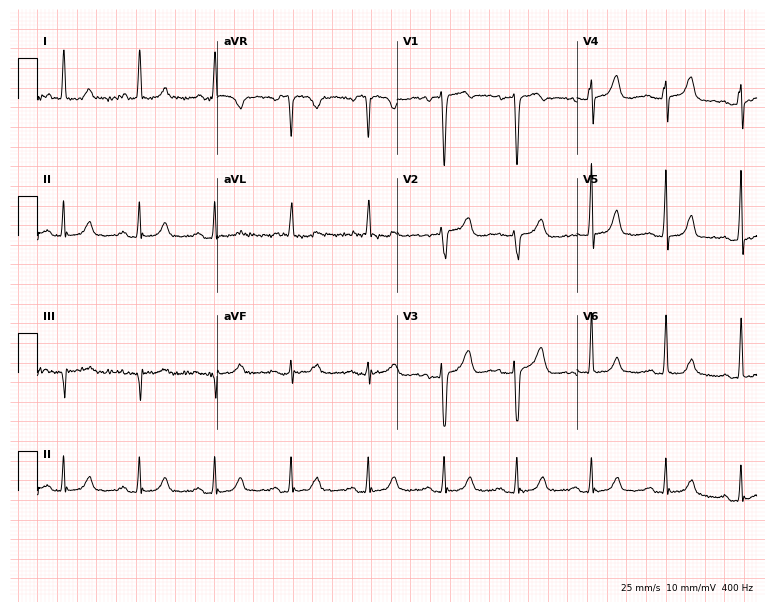
12-lead ECG from a 43-year-old female patient. Recorded interpretation: within normal limits.